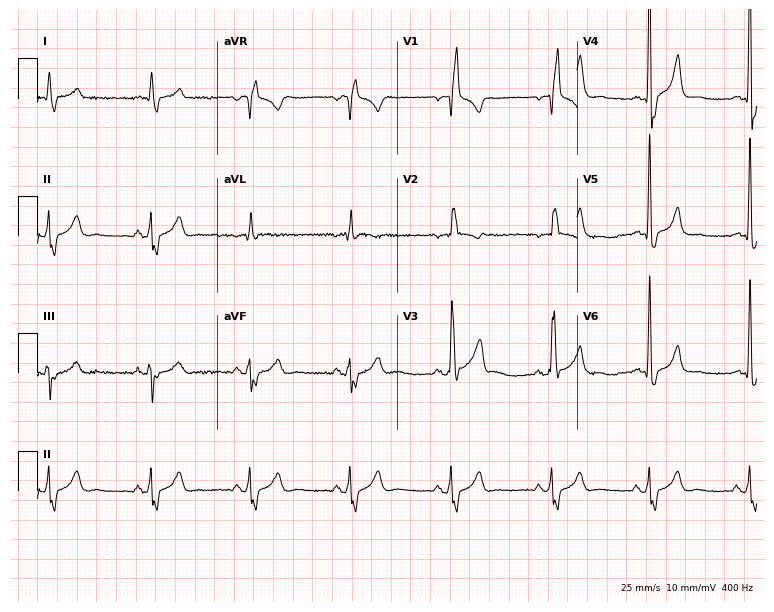
12-lead ECG from a male, 62 years old (7.3-second recording at 400 Hz). Shows right bundle branch block.